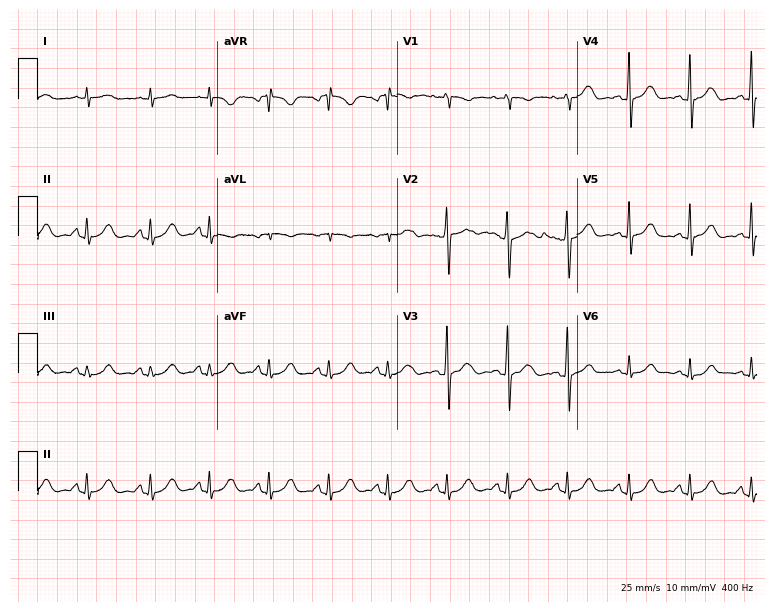
12-lead ECG from a female, 46 years old. No first-degree AV block, right bundle branch block, left bundle branch block, sinus bradycardia, atrial fibrillation or sinus tachycardia recorded for this tracing.